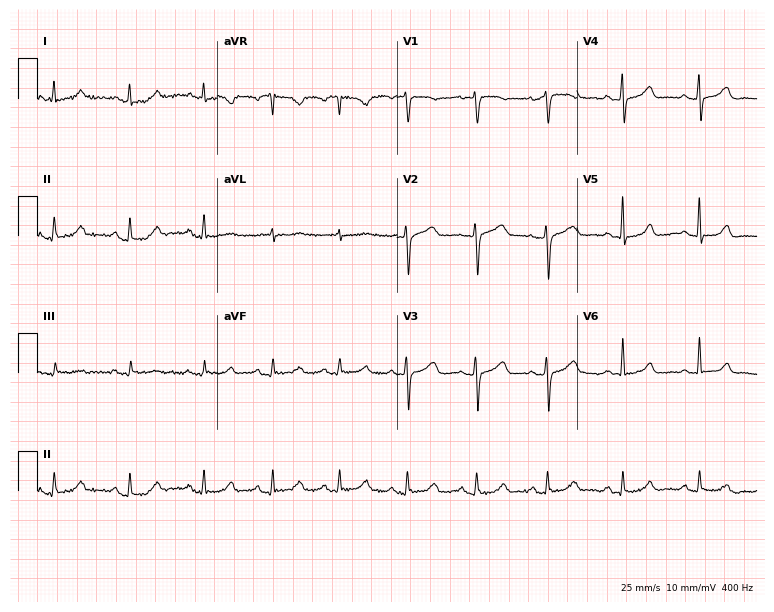
12-lead ECG from a 69-year-old female. Labelled as a normal ECG.